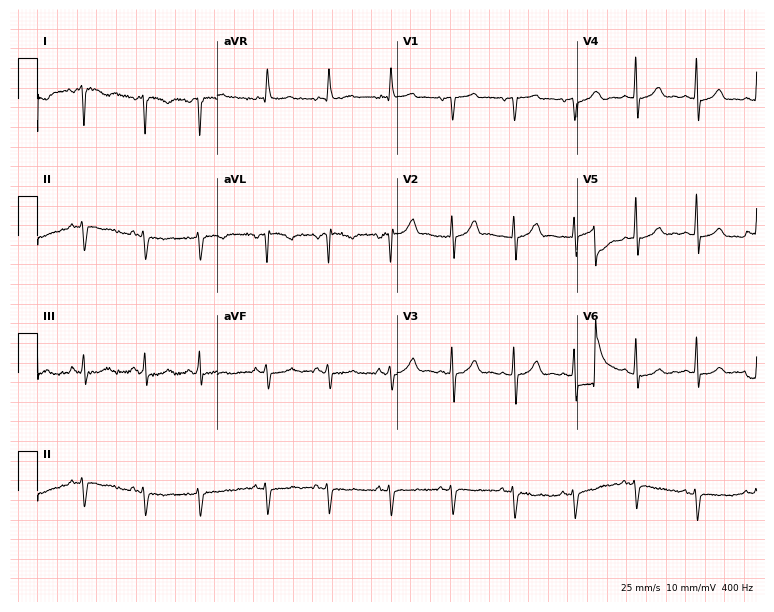
Electrocardiogram, a 77-year-old female patient. Of the six screened findings (first-degree AV block, right bundle branch block, left bundle branch block, sinus bradycardia, atrial fibrillation, sinus tachycardia), none is recorded. Findings outside these six are not listed.